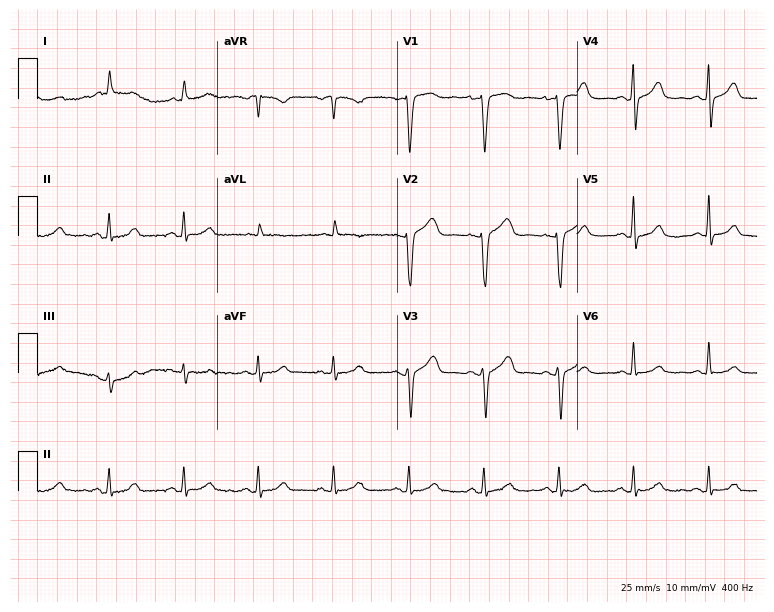
Resting 12-lead electrocardiogram (7.3-second recording at 400 Hz). Patient: a male, 53 years old. Read as a normal ECG.